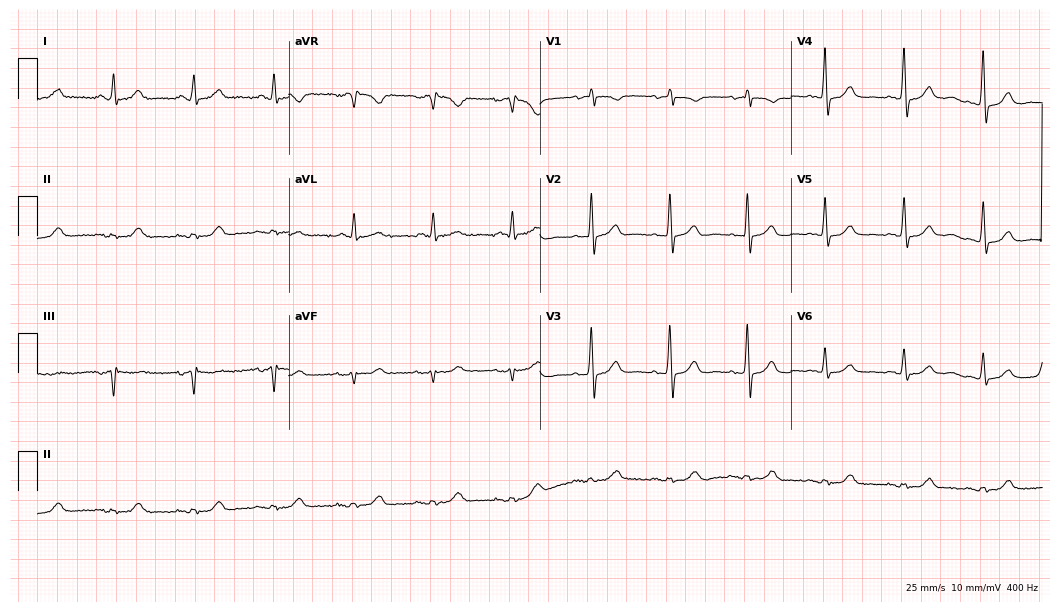
12-lead ECG from a 69-year-old female patient. Labelled as a normal ECG.